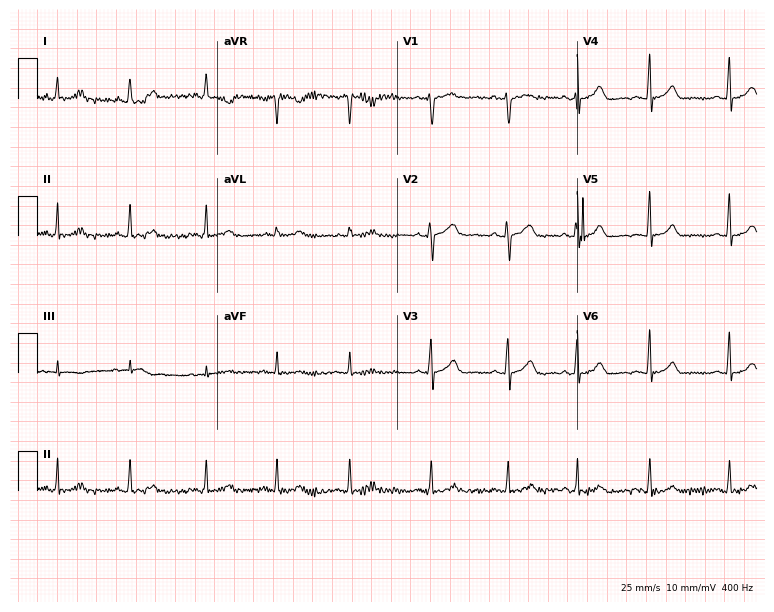
Standard 12-lead ECG recorded from a female patient, 33 years old. Read as a normal ECG.